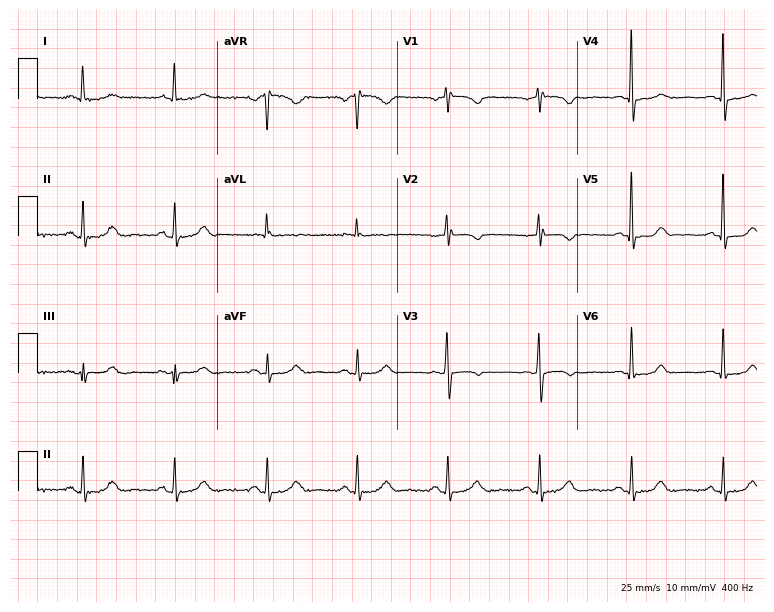
Electrocardiogram (7.3-second recording at 400 Hz), a 69-year-old female. Overall reading on record: normal ECG.